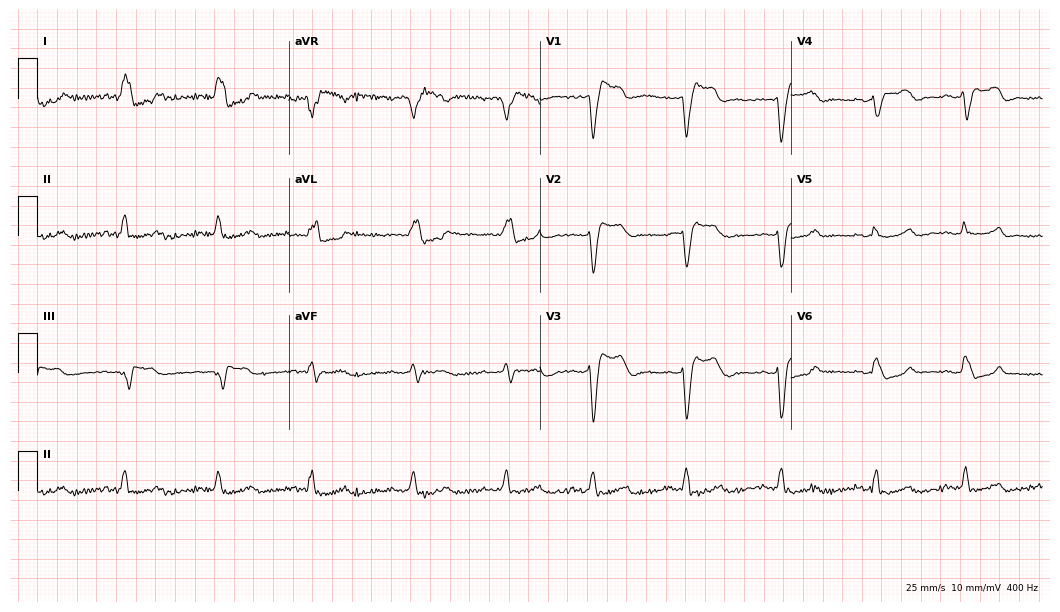
ECG — a 71-year-old female patient. Findings include left bundle branch block.